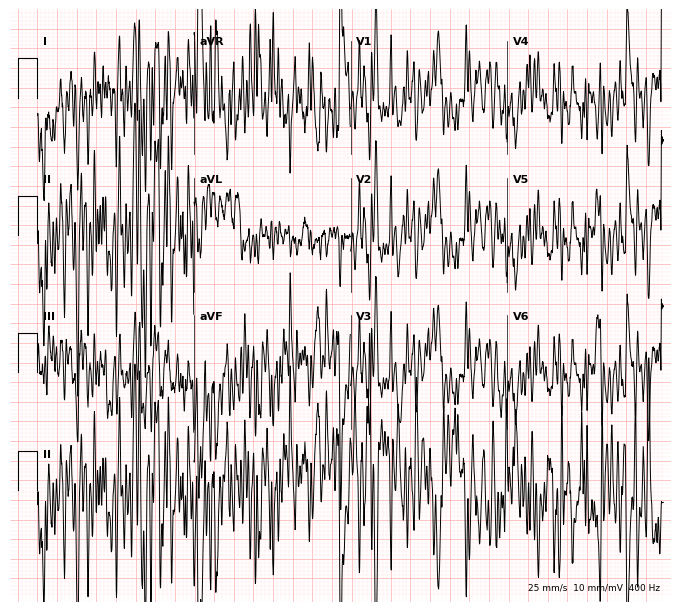
12-lead ECG from a 68-year-old female. No first-degree AV block, right bundle branch block, left bundle branch block, sinus bradycardia, atrial fibrillation or sinus tachycardia recorded for this tracing.